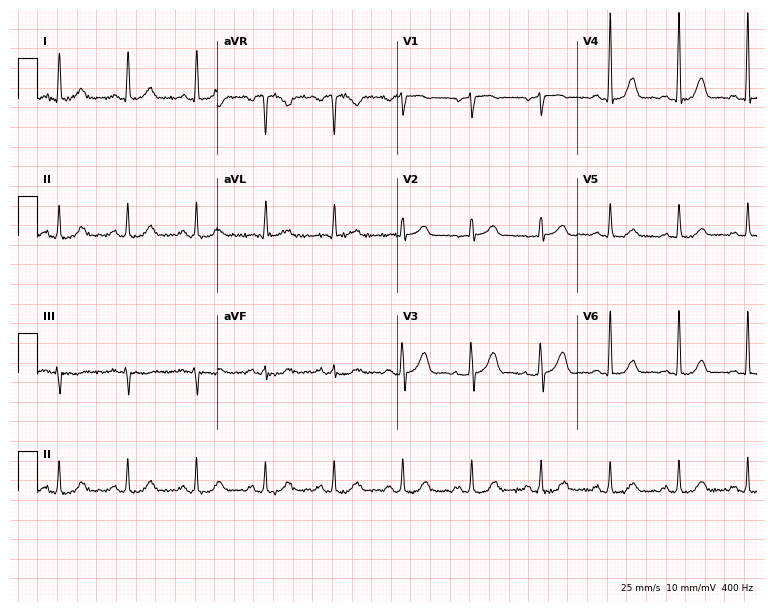
Electrocardiogram, a 79-year-old female. Overall reading on record: normal ECG.